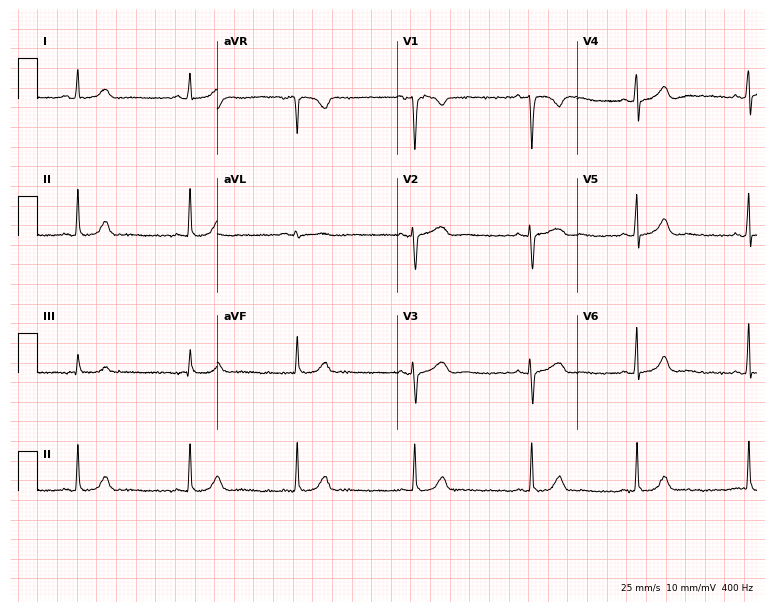
ECG (7.3-second recording at 400 Hz) — a female patient, 27 years old. Screened for six findings — first-degree AV block, right bundle branch block (RBBB), left bundle branch block (LBBB), sinus bradycardia, atrial fibrillation (AF), sinus tachycardia — none is recorded.